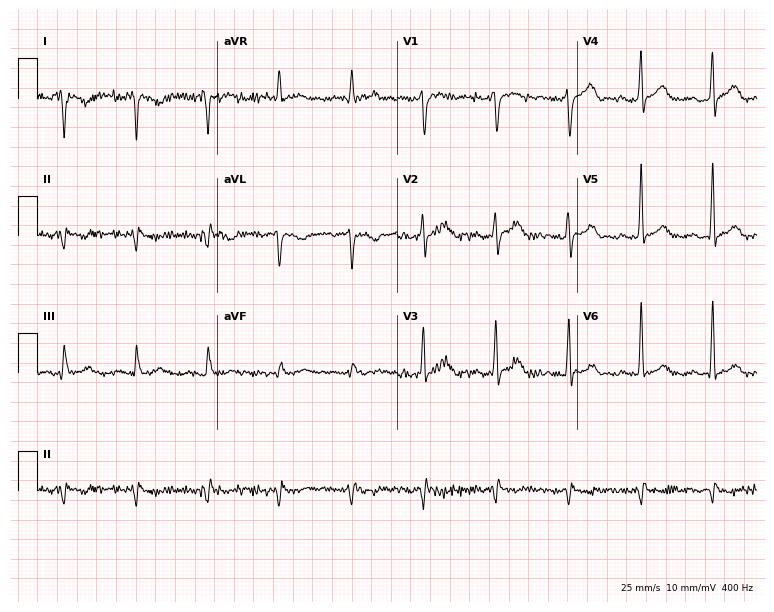
12-lead ECG (7.3-second recording at 400 Hz) from a male patient, 67 years old. Screened for six findings — first-degree AV block, right bundle branch block, left bundle branch block, sinus bradycardia, atrial fibrillation, sinus tachycardia — none is recorded.